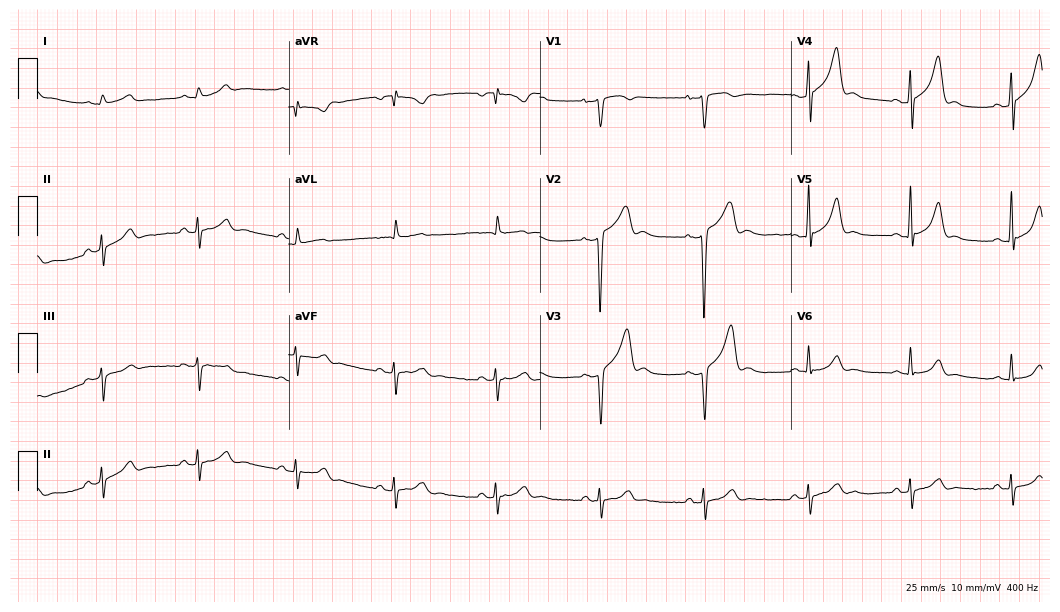
ECG — a 45-year-old male patient. Screened for six findings — first-degree AV block, right bundle branch block, left bundle branch block, sinus bradycardia, atrial fibrillation, sinus tachycardia — none is recorded. Only these six findings were labelled.